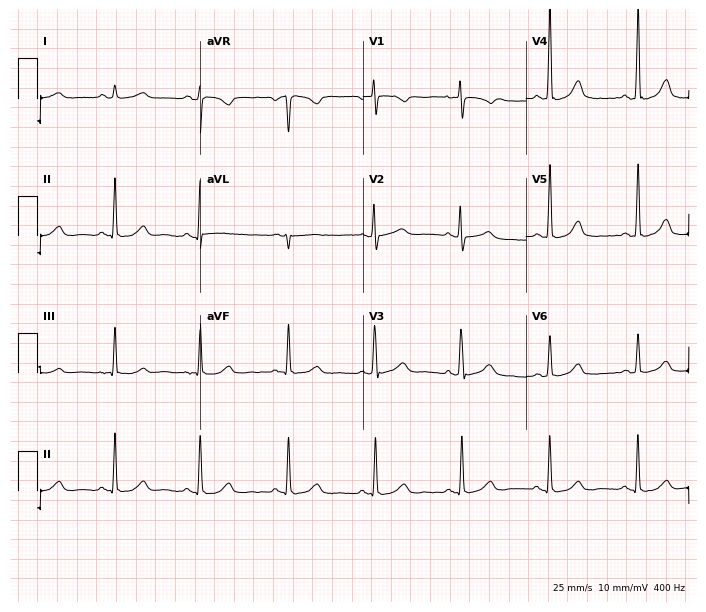
12-lead ECG from a woman, 50 years old. No first-degree AV block, right bundle branch block, left bundle branch block, sinus bradycardia, atrial fibrillation or sinus tachycardia recorded for this tracing.